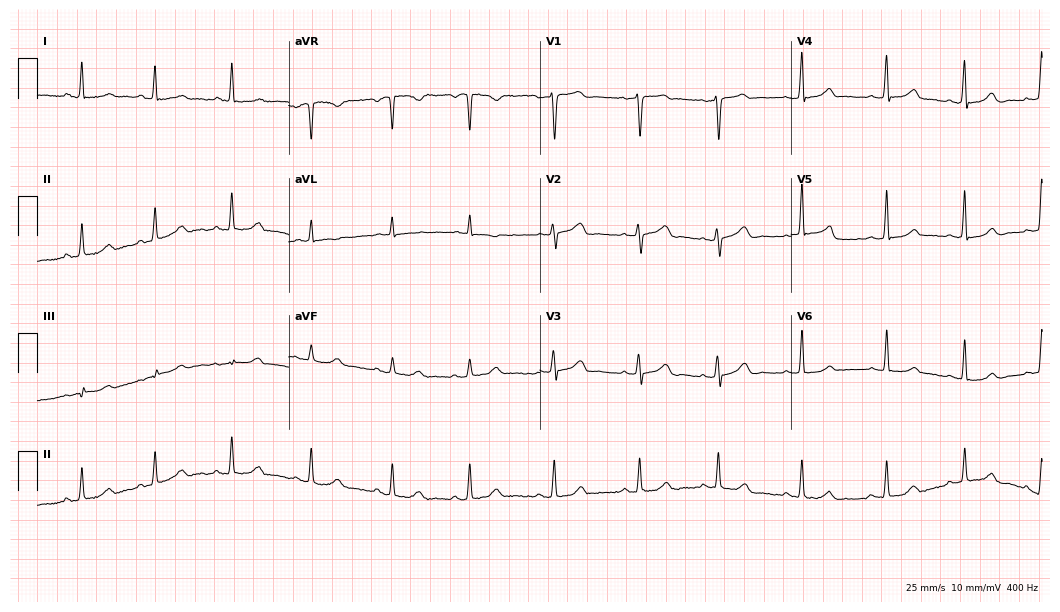
ECG (10.2-second recording at 400 Hz) — a 45-year-old woman. Screened for six findings — first-degree AV block, right bundle branch block, left bundle branch block, sinus bradycardia, atrial fibrillation, sinus tachycardia — none is recorded.